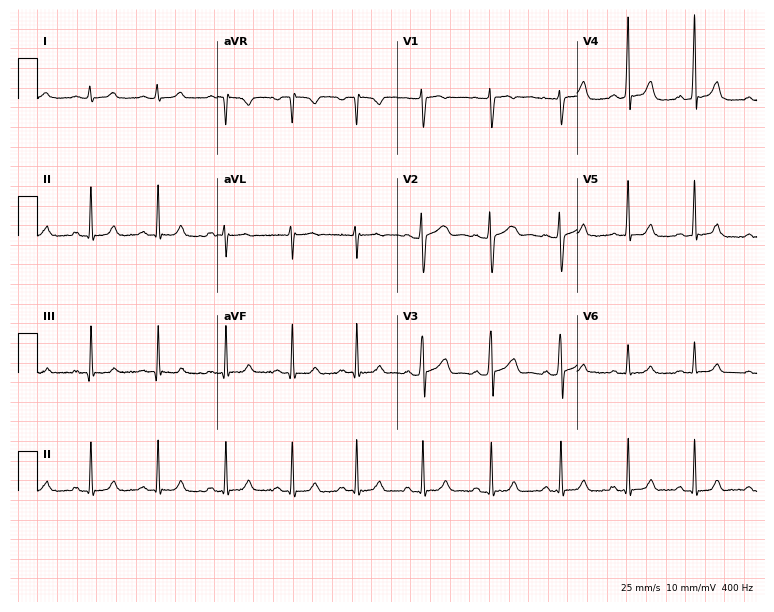
Resting 12-lead electrocardiogram (7.3-second recording at 400 Hz). Patient: a 22-year-old female. Read as a normal ECG.